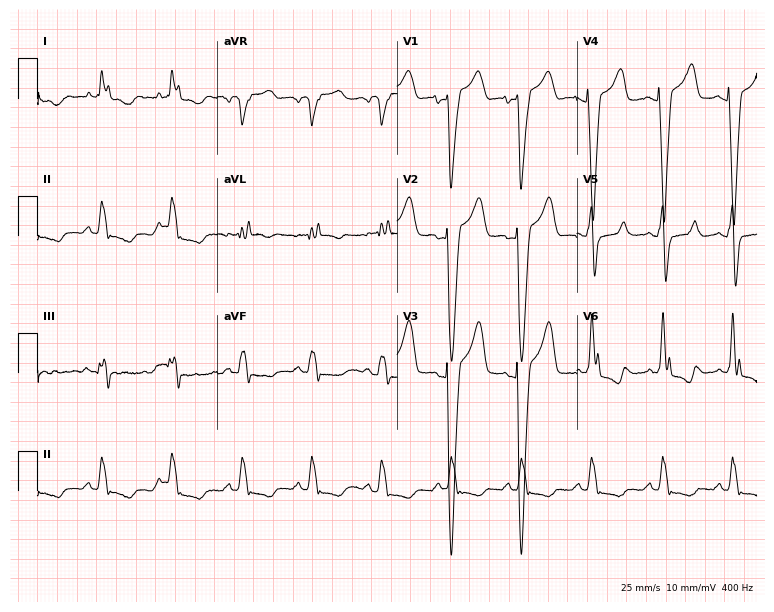
ECG — a 70-year-old male patient. Findings include left bundle branch block.